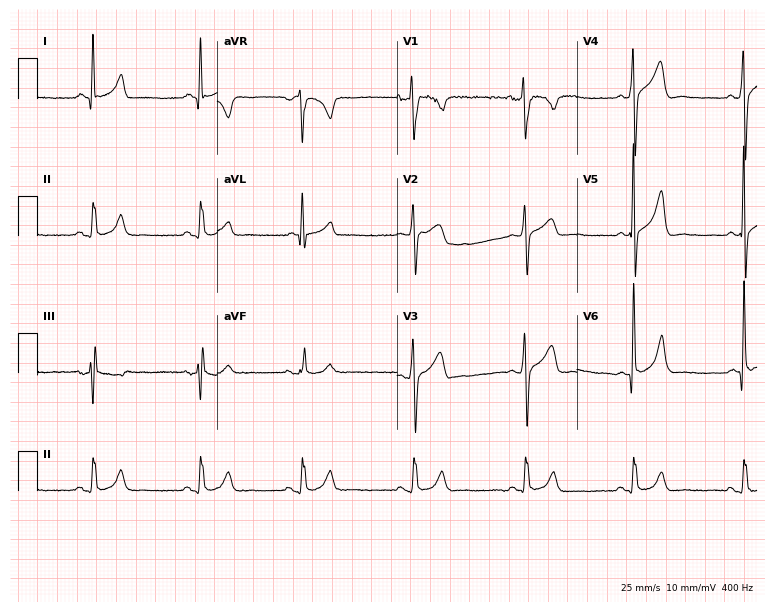
Resting 12-lead electrocardiogram (7.3-second recording at 400 Hz). Patient: a 43-year-old male. None of these six findings is recorded: first-degree AV block, right bundle branch block, left bundle branch block, sinus bradycardia, atrial fibrillation, sinus tachycardia.